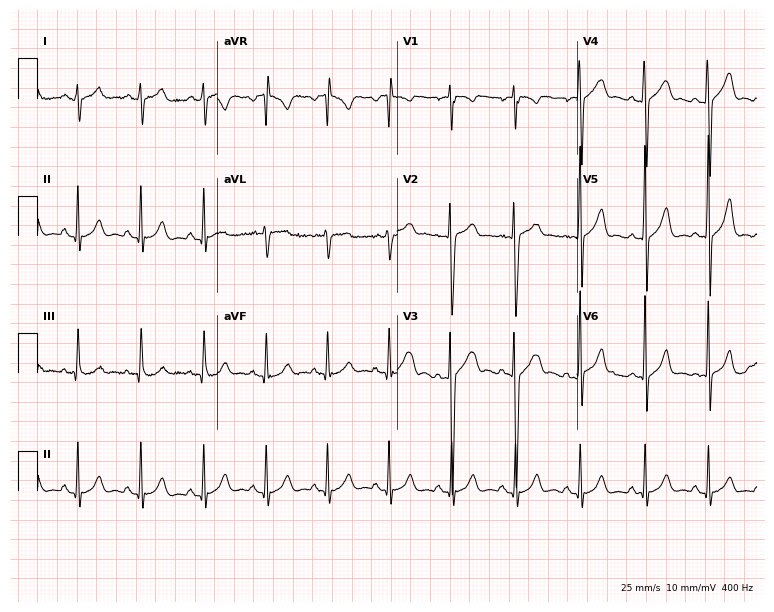
ECG — a 17-year-old male patient. Labelled as a normal ECG.